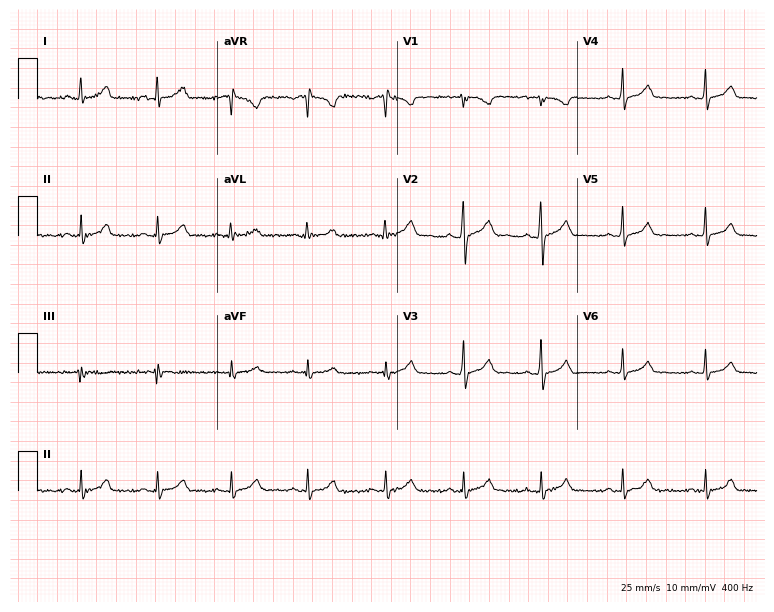
12-lead ECG from a woman, 23 years old (7.3-second recording at 400 Hz). Recorded interpretation: within normal limits.